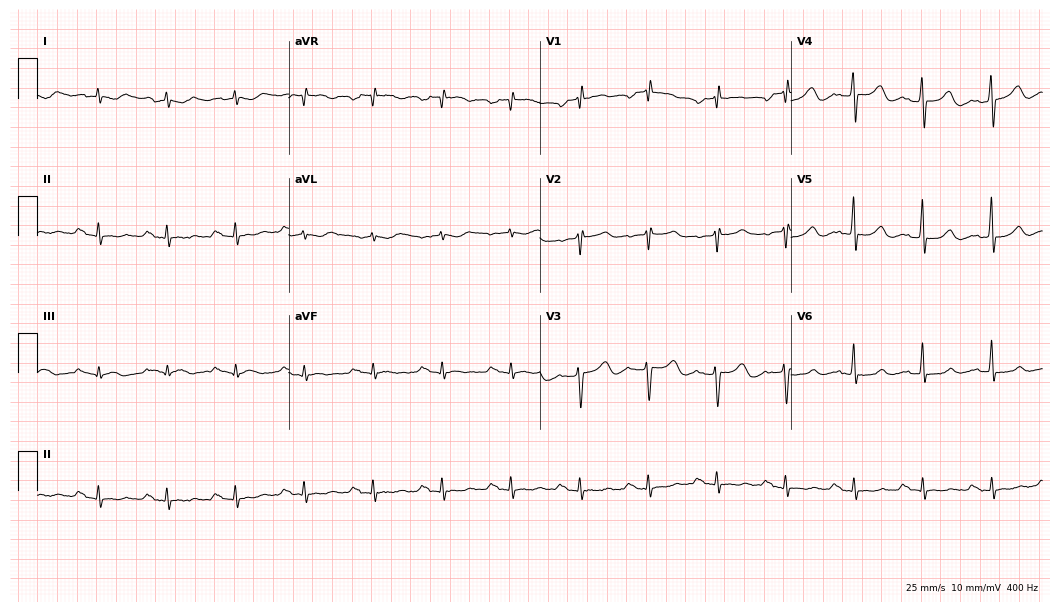
ECG — a male, 68 years old. Findings include first-degree AV block.